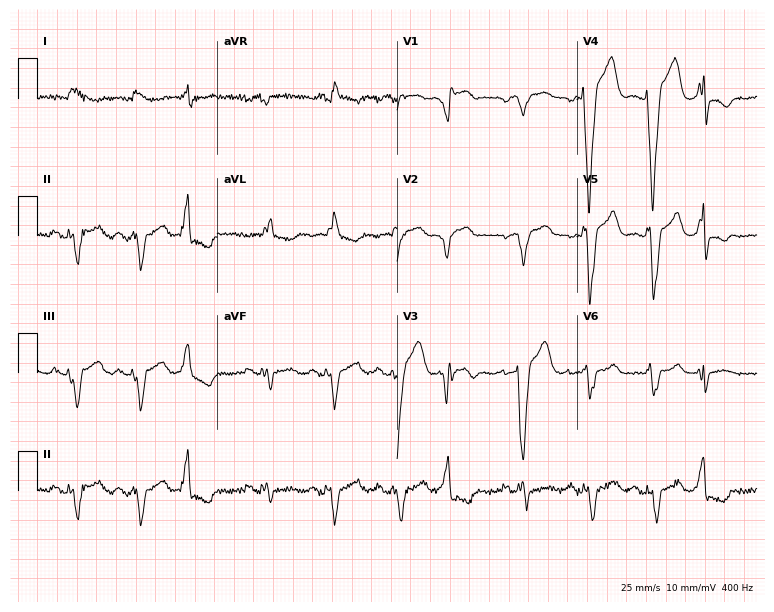
12-lead ECG from a male, 79 years old. Shows left bundle branch block.